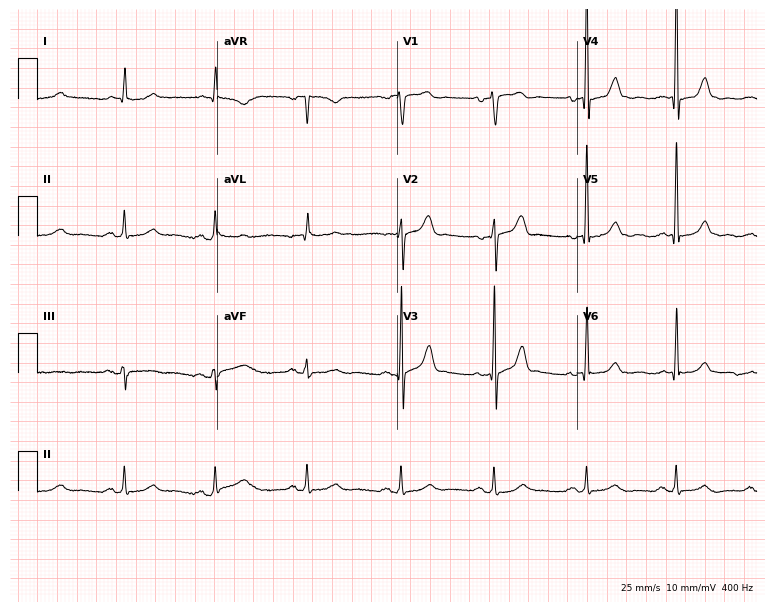
Resting 12-lead electrocardiogram (7.3-second recording at 400 Hz). Patient: a 67-year-old male. Read as a normal ECG.